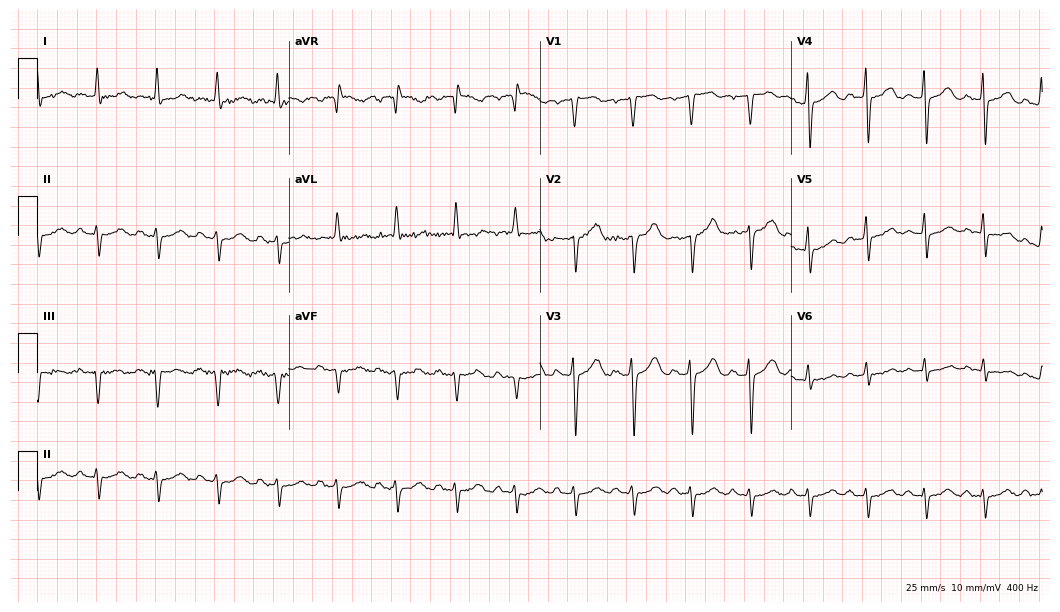
Standard 12-lead ECG recorded from a man, 74 years old. None of these six findings is recorded: first-degree AV block, right bundle branch block, left bundle branch block, sinus bradycardia, atrial fibrillation, sinus tachycardia.